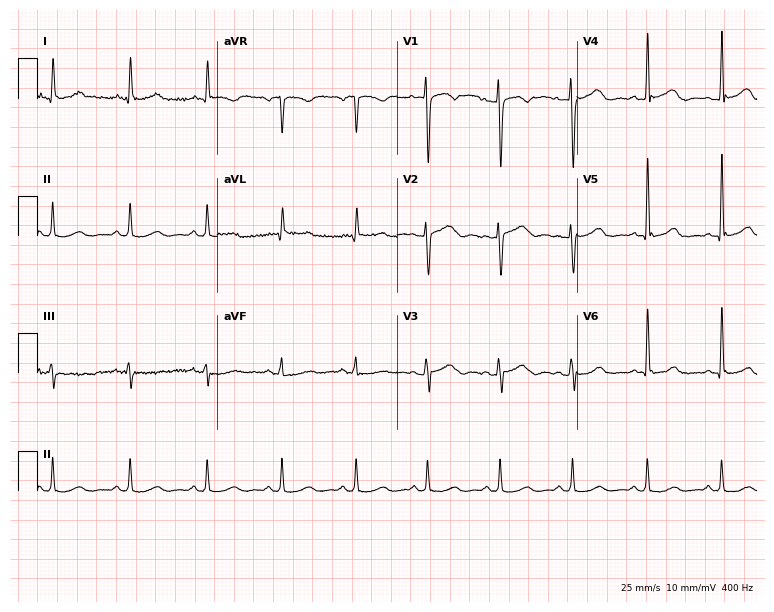
Resting 12-lead electrocardiogram. Patient: a 52-year-old man. Read as a normal ECG.